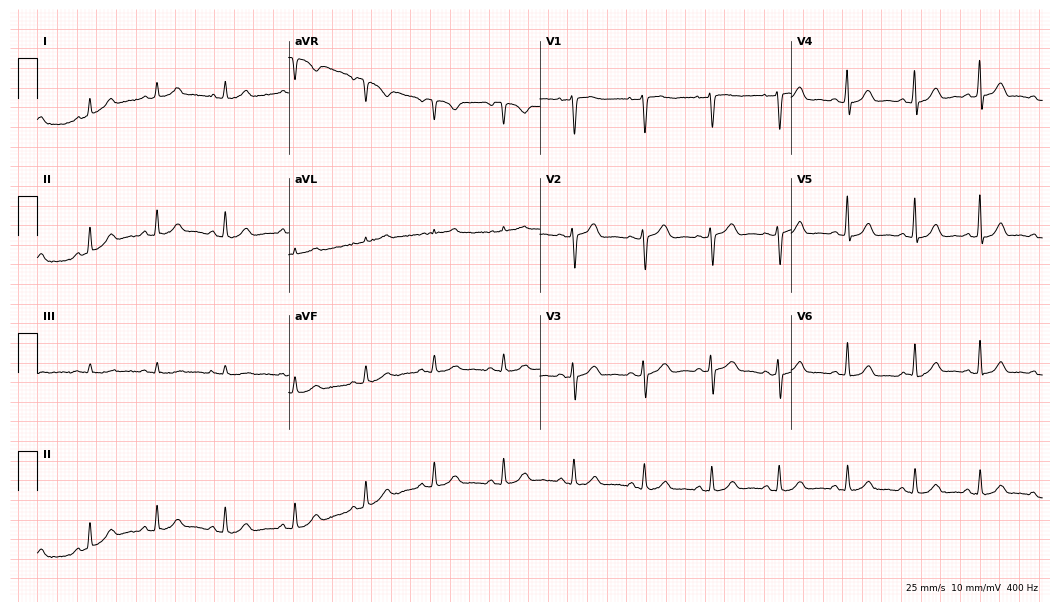
Standard 12-lead ECG recorded from a 41-year-old female patient (10.2-second recording at 400 Hz). None of these six findings is recorded: first-degree AV block, right bundle branch block, left bundle branch block, sinus bradycardia, atrial fibrillation, sinus tachycardia.